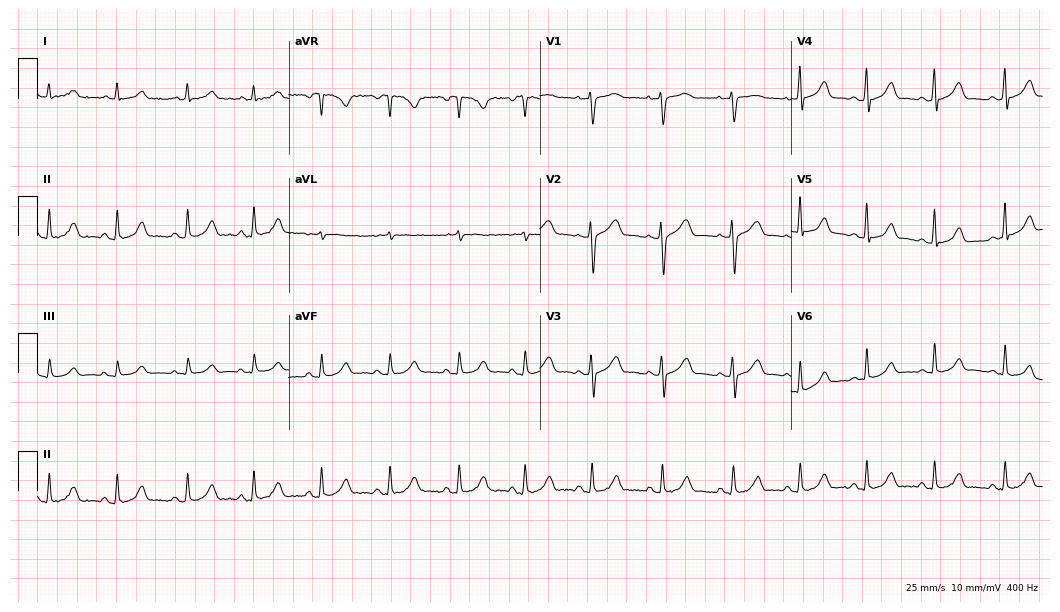
12-lead ECG from a 34-year-old female patient (10.2-second recording at 400 Hz). Recorded interpretation: within normal limits.